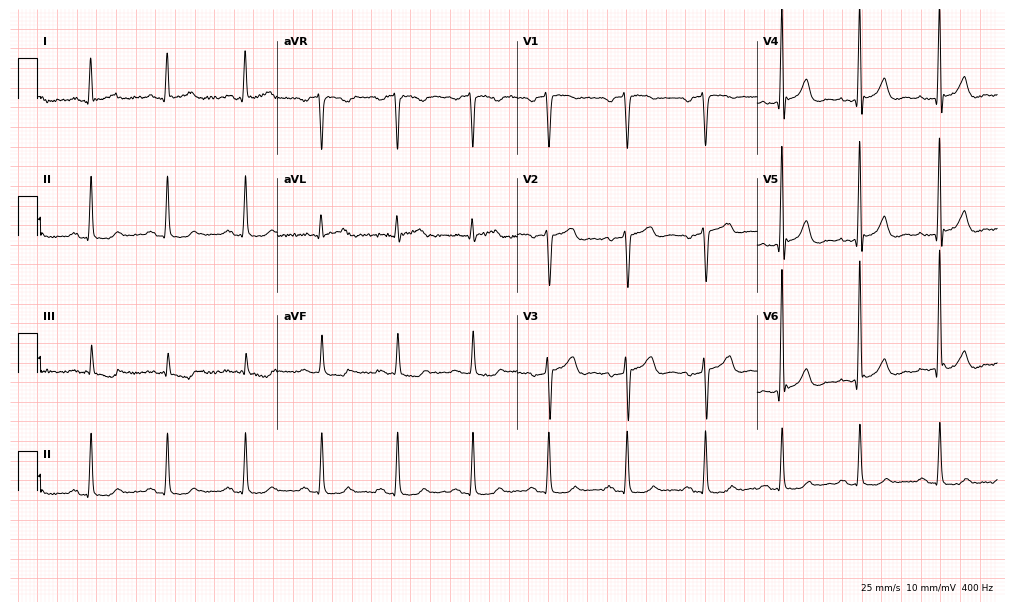
Standard 12-lead ECG recorded from a male patient, 66 years old. None of these six findings is recorded: first-degree AV block, right bundle branch block, left bundle branch block, sinus bradycardia, atrial fibrillation, sinus tachycardia.